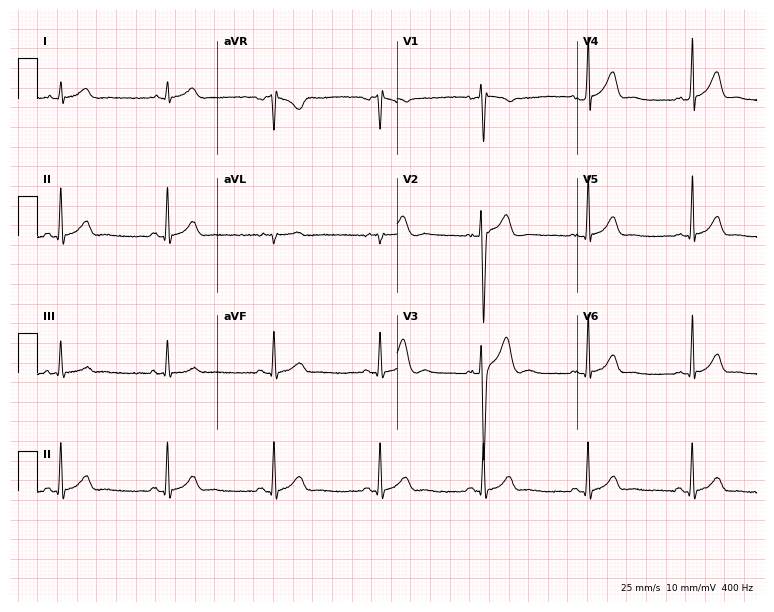
12-lead ECG from a male, 26 years old (7.3-second recording at 400 Hz). Recorded interpretation: within normal limits.